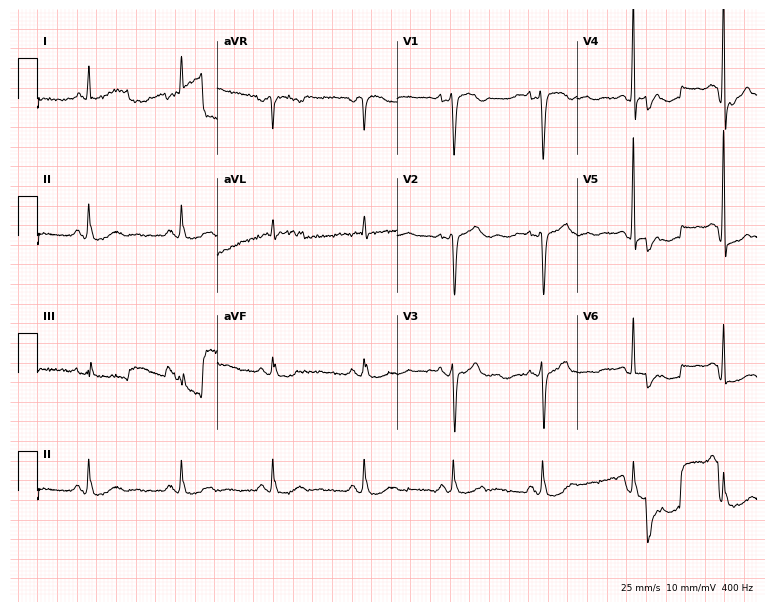
12-lead ECG from a female, 65 years old. Labelled as a normal ECG.